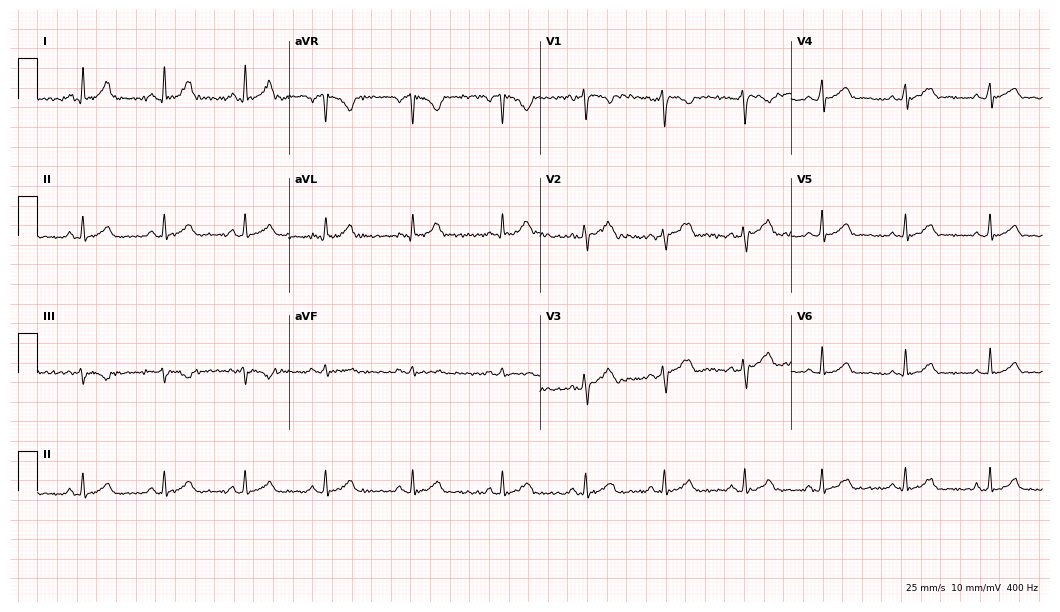
Standard 12-lead ECG recorded from a female patient, 18 years old. None of these six findings is recorded: first-degree AV block, right bundle branch block, left bundle branch block, sinus bradycardia, atrial fibrillation, sinus tachycardia. Other findings, if any, are not listed.